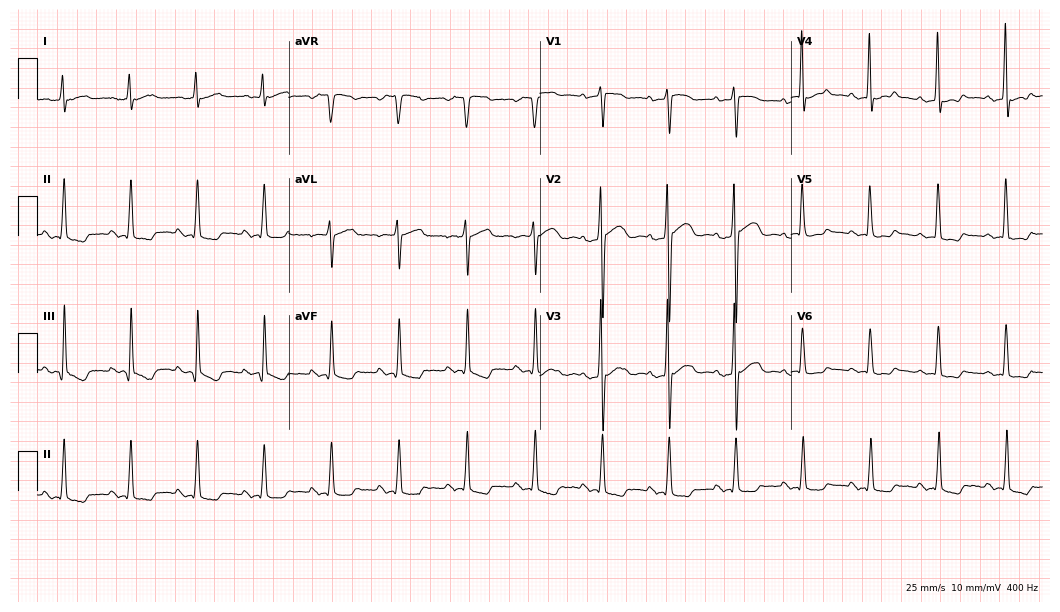
Resting 12-lead electrocardiogram. Patient: a 57-year-old female. Read as a normal ECG.